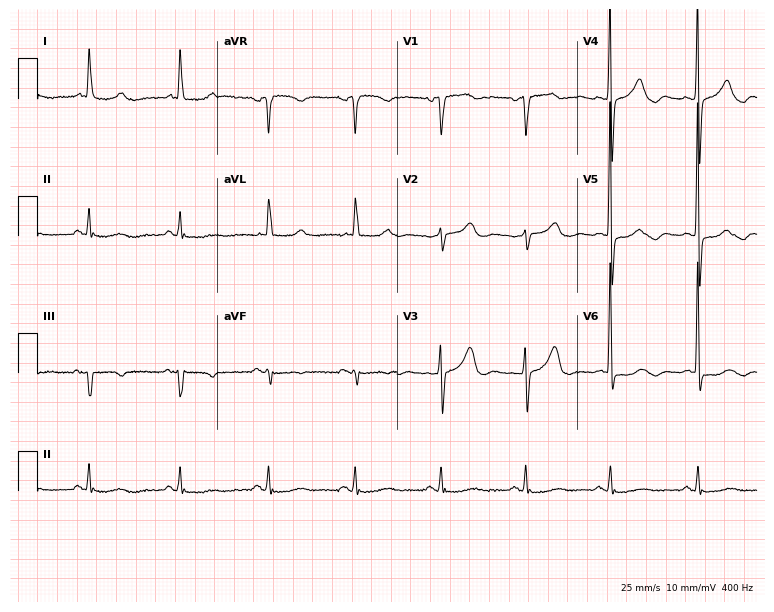
Resting 12-lead electrocardiogram. Patient: an 85-year-old woman. None of these six findings is recorded: first-degree AV block, right bundle branch block, left bundle branch block, sinus bradycardia, atrial fibrillation, sinus tachycardia. Findings outside these six are not listed.